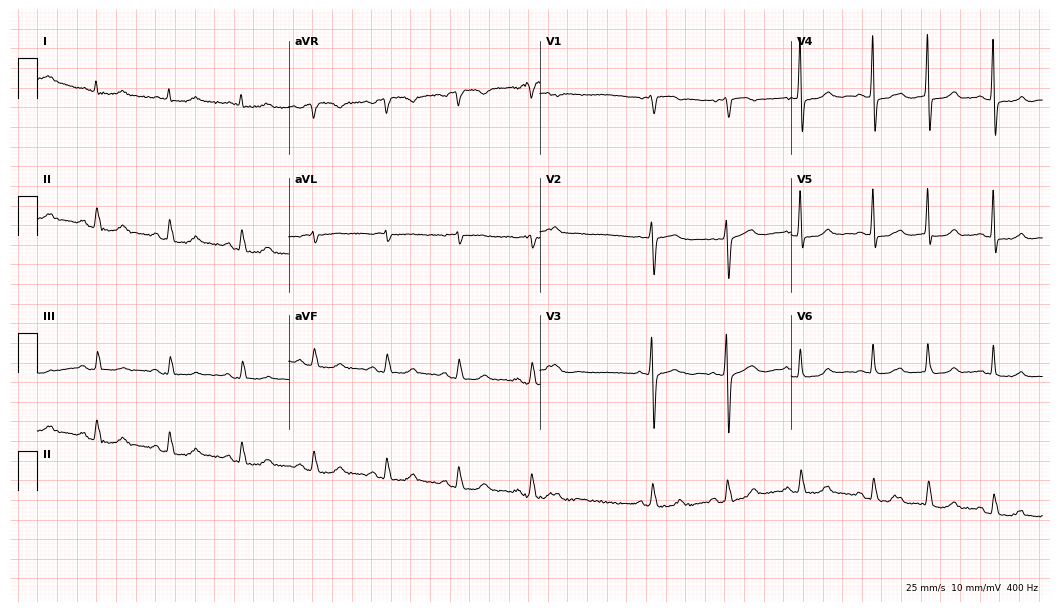
12-lead ECG from a 67-year-old woman. Recorded interpretation: within normal limits.